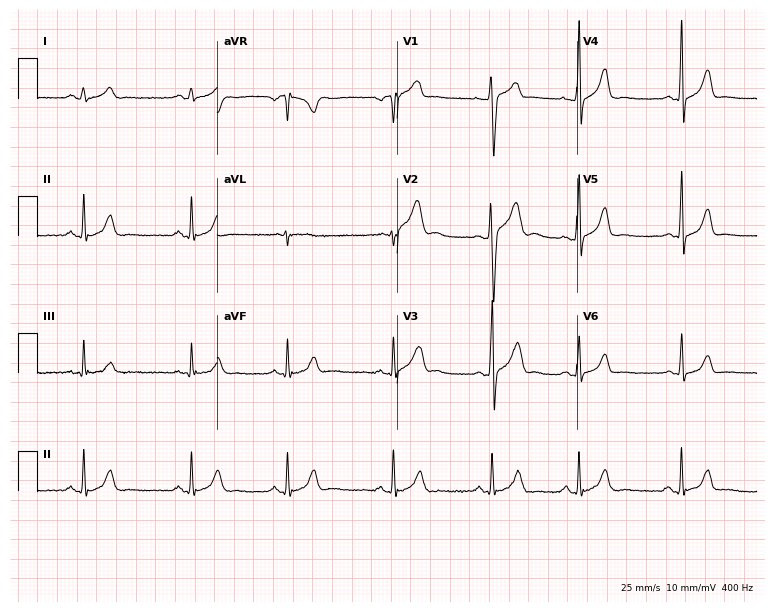
12-lead ECG from an 18-year-old male patient. No first-degree AV block, right bundle branch block, left bundle branch block, sinus bradycardia, atrial fibrillation or sinus tachycardia recorded for this tracing.